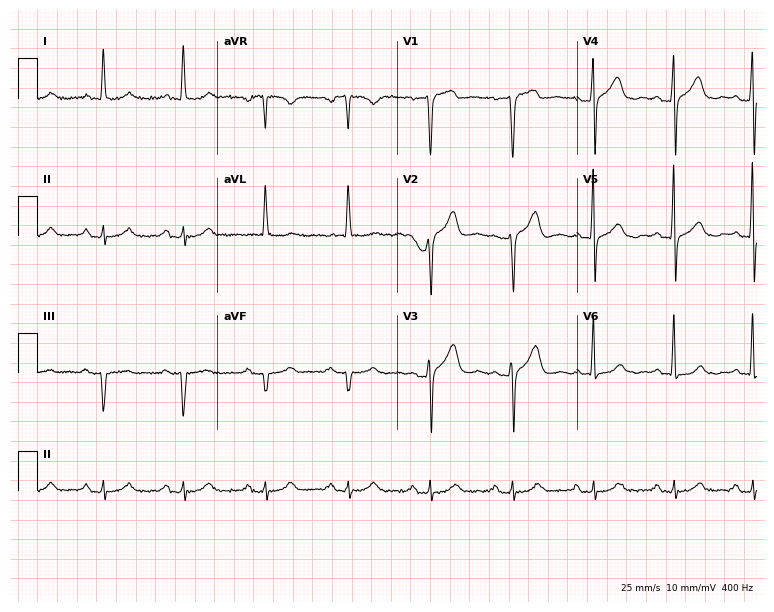
12-lead ECG (7.3-second recording at 400 Hz) from a male, 68 years old. Screened for six findings — first-degree AV block, right bundle branch block, left bundle branch block, sinus bradycardia, atrial fibrillation, sinus tachycardia — none is recorded.